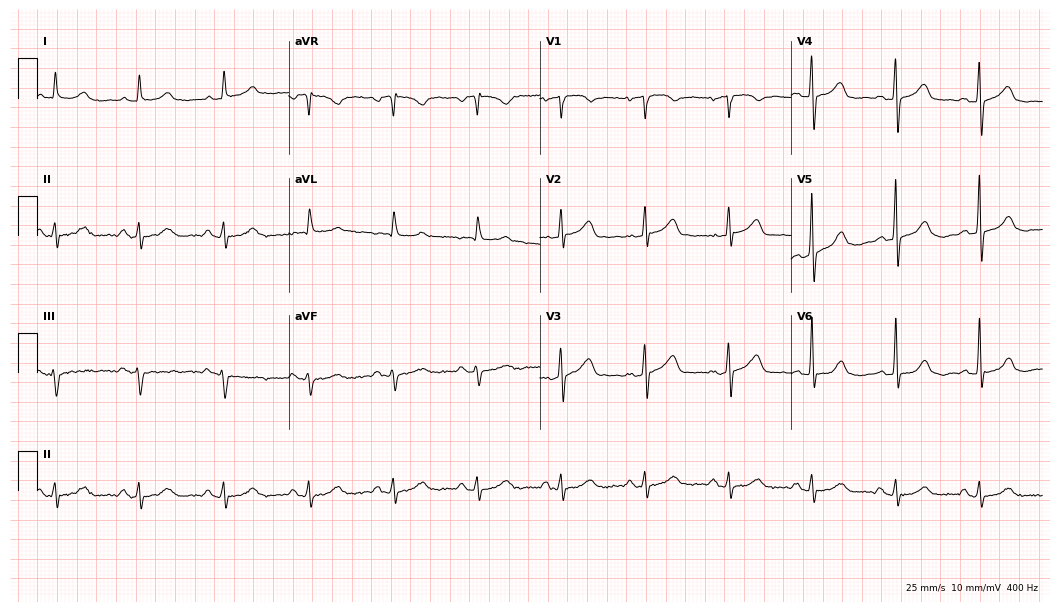
12-lead ECG from a woman, 78 years old. Labelled as a normal ECG.